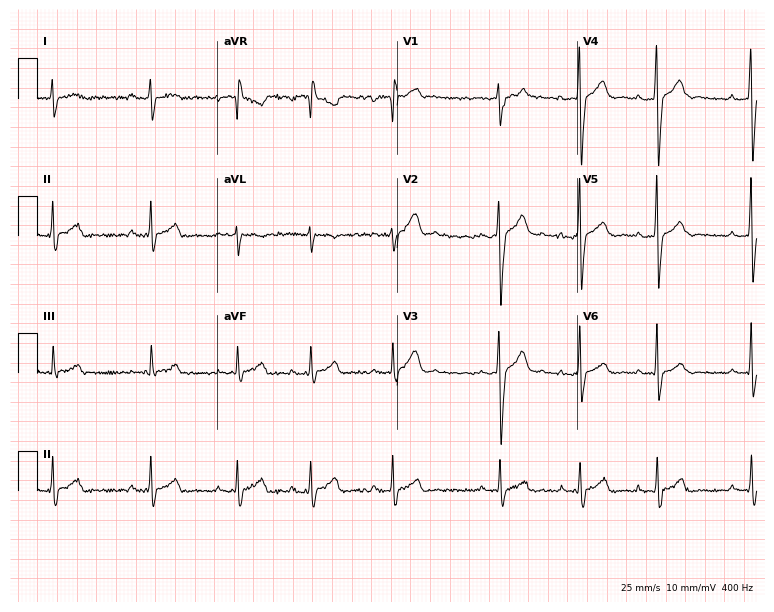
12-lead ECG (7.3-second recording at 400 Hz) from a male patient, 20 years old. Screened for six findings — first-degree AV block, right bundle branch block, left bundle branch block, sinus bradycardia, atrial fibrillation, sinus tachycardia — none is recorded.